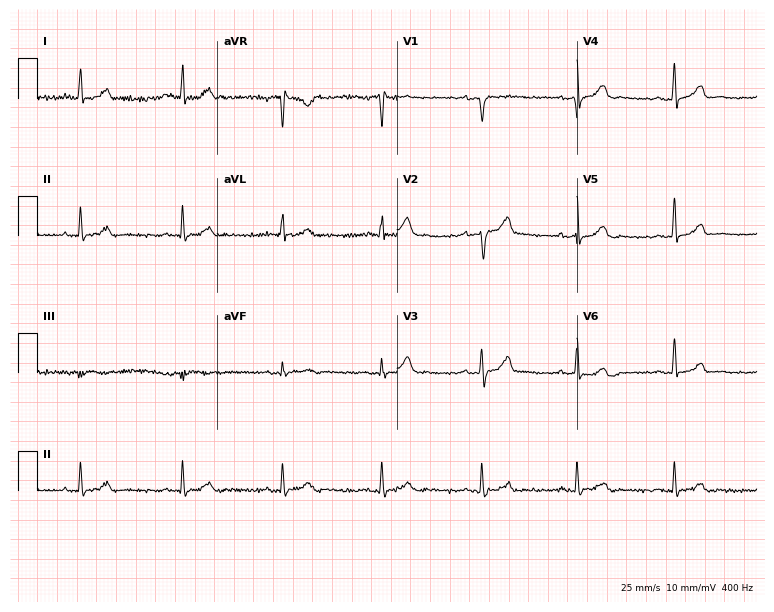
Standard 12-lead ECG recorded from a man, 43 years old. None of these six findings is recorded: first-degree AV block, right bundle branch block, left bundle branch block, sinus bradycardia, atrial fibrillation, sinus tachycardia.